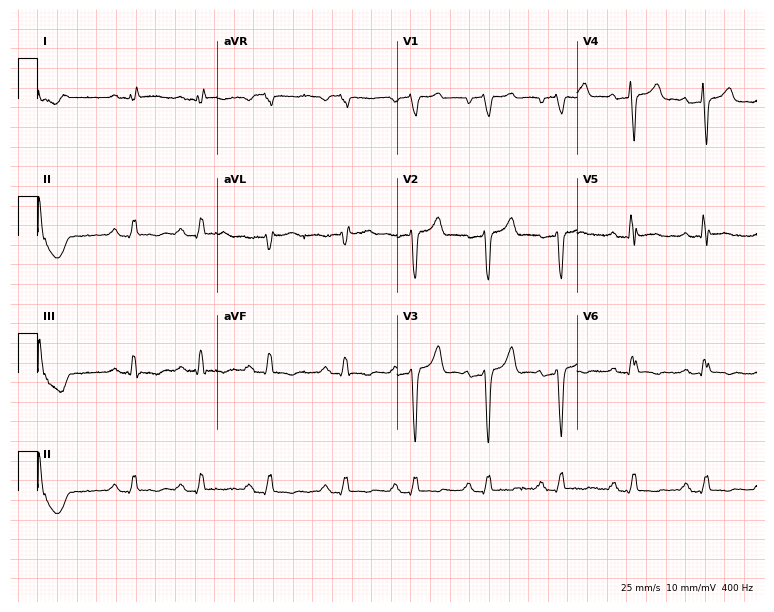
ECG — a male patient, 58 years old. Findings include left bundle branch block.